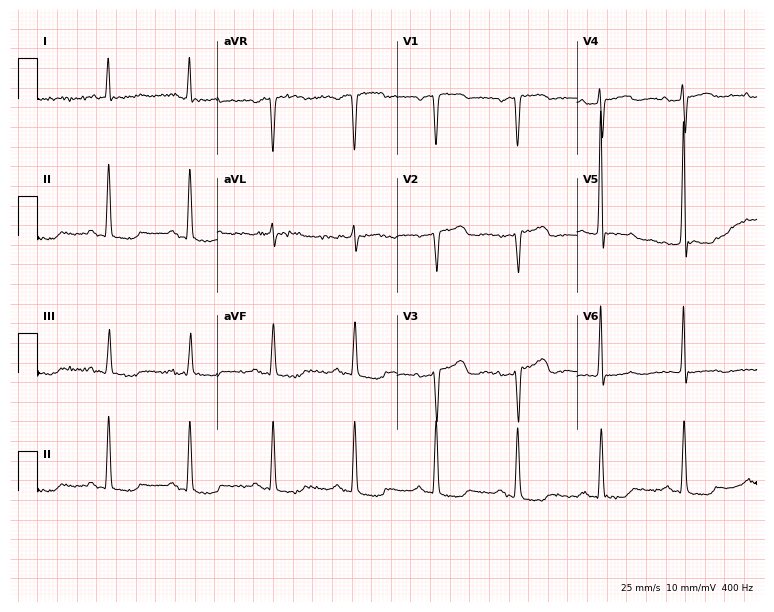
ECG — an 81-year-old female patient. Screened for six findings — first-degree AV block, right bundle branch block (RBBB), left bundle branch block (LBBB), sinus bradycardia, atrial fibrillation (AF), sinus tachycardia — none is recorded.